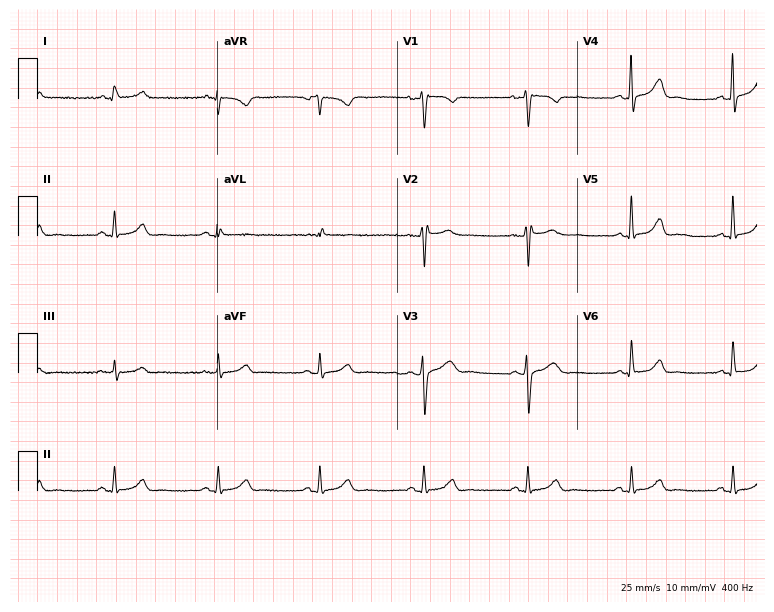
ECG (7.3-second recording at 400 Hz) — a 38-year-old female. Screened for six findings — first-degree AV block, right bundle branch block, left bundle branch block, sinus bradycardia, atrial fibrillation, sinus tachycardia — none is recorded. Only these six findings were labelled.